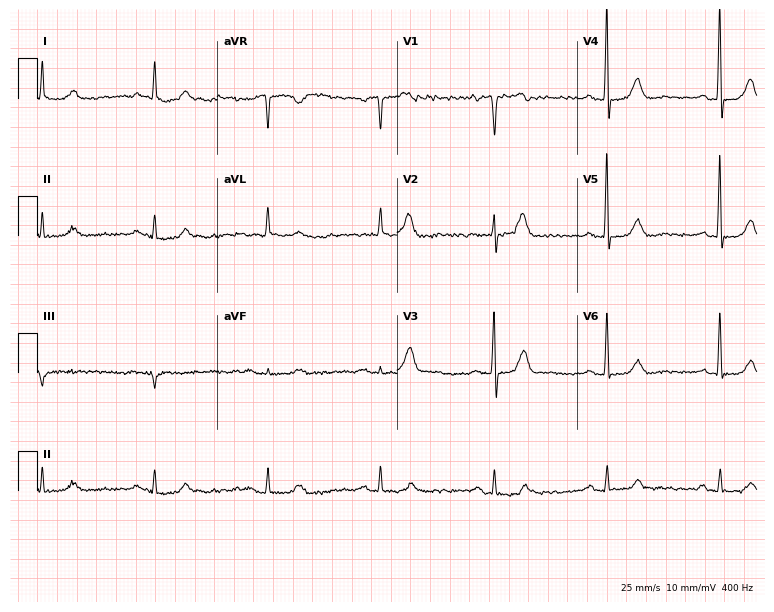
12-lead ECG from a male patient, 71 years old. Recorded interpretation: within normal limits.